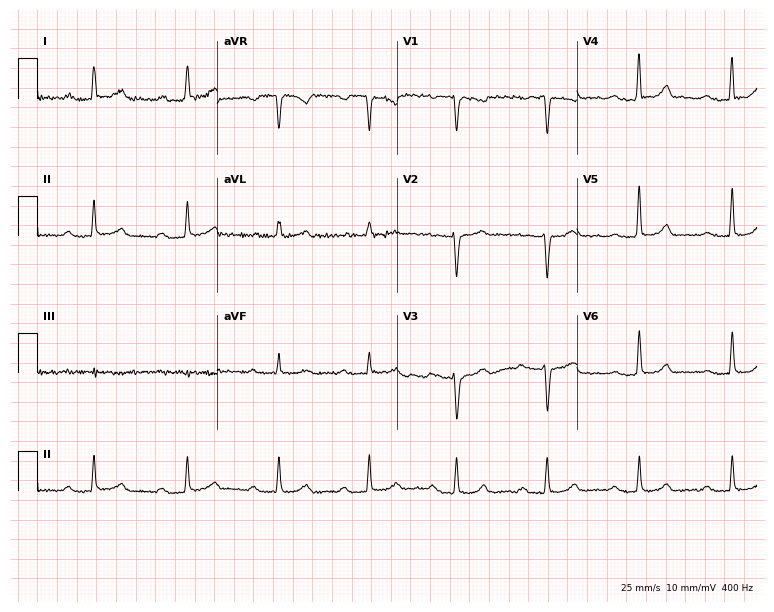
12-lead ECG (7.3-second recording at 400 Hz) from a 43-year-old woman. Findings include first-degree AV block.